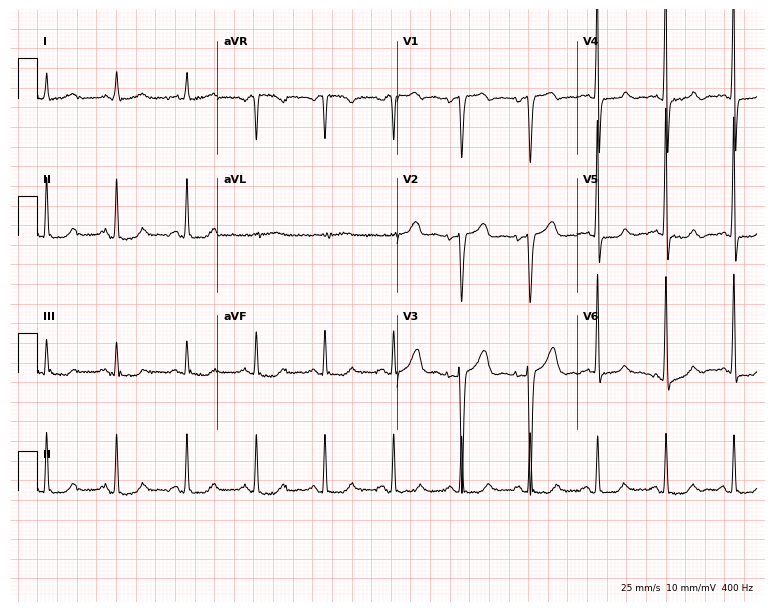
12-lead ECG from a 56-year-old female (7.3-second recording at 400 Hz). Recorded interpretation: within normal limits.